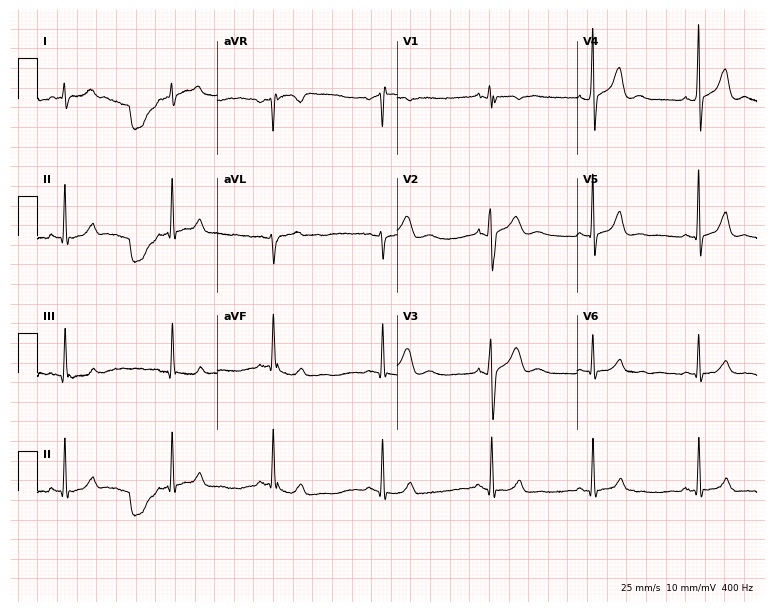
12-lead ECG from a 17-year-old man (7.3-second recording at 400 Hz). No first-degree AV block, right bundle branch block, left bundle branch block, sinus bradycardia, atrial fibrillation or sinus tachycardia recorded for this tracing. Other findings, if any, are not listed.